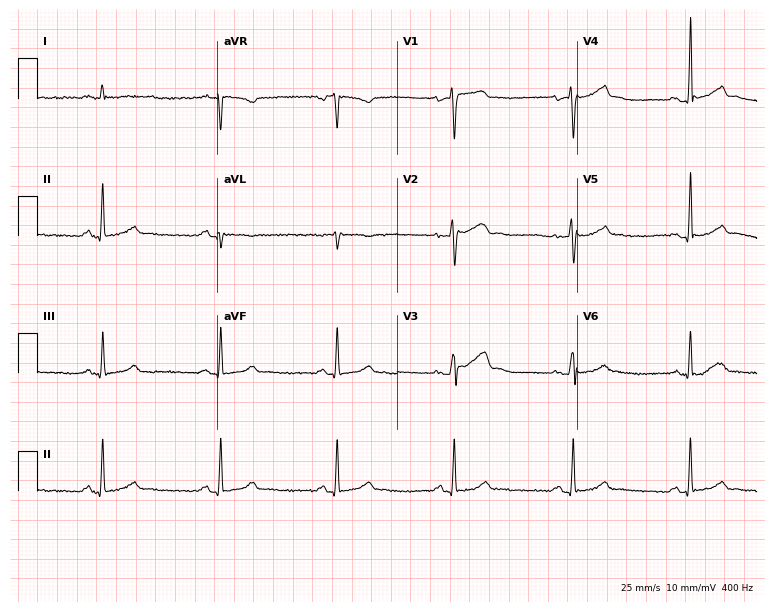
12-lead ECG (7.3-second recording at 400 Hz) from a male, 41 years old. Labelled as a normal ECG.